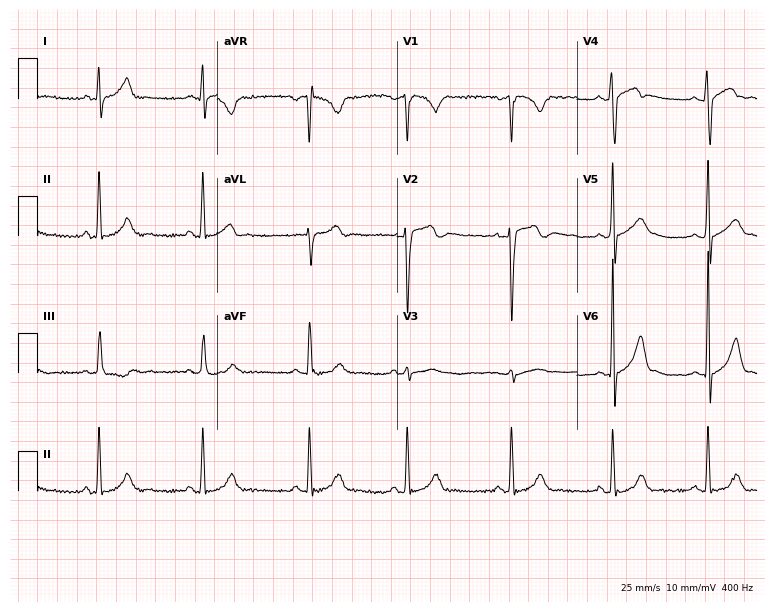
ECG — a 26-year-old male. Labelled as a normal ECG.